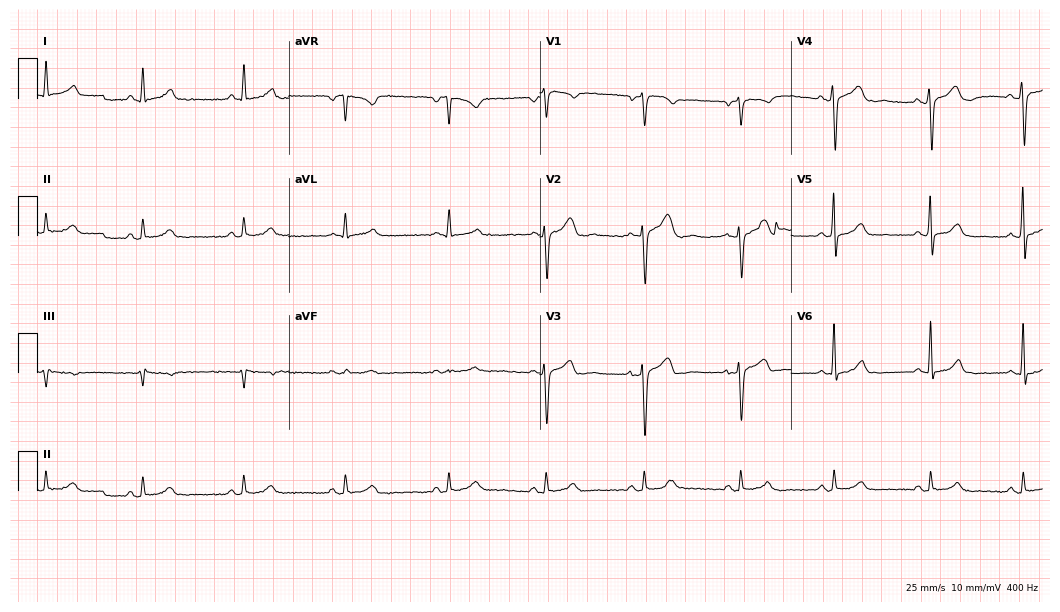
Electrocardiogram, a male patient, 34 years old. Overall reading on record: normal ECG.